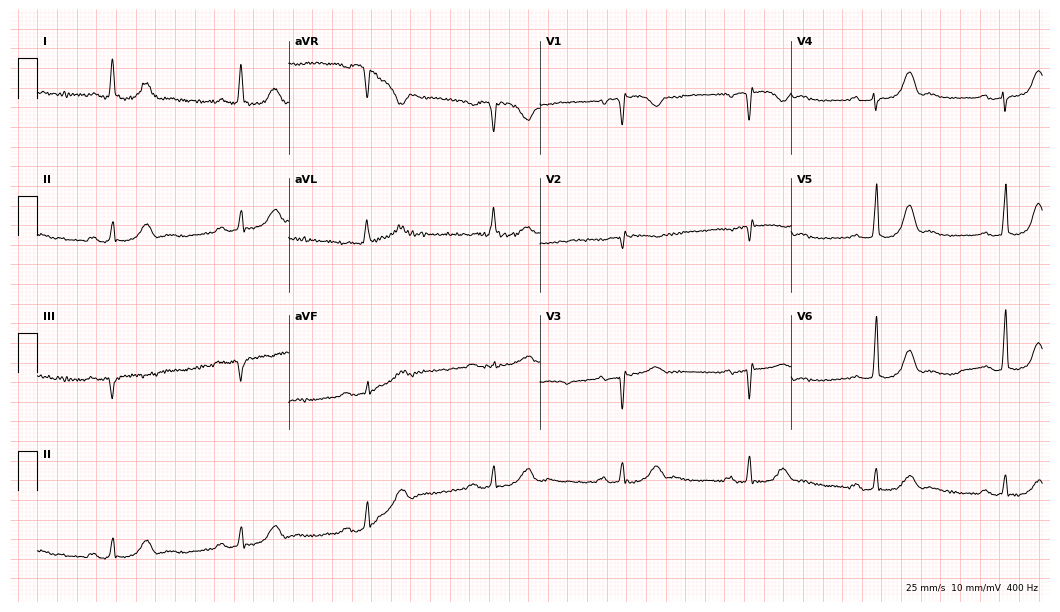
ECG — a 73-year-old woman. Findings include first-degree AV block, right bundle branch block.